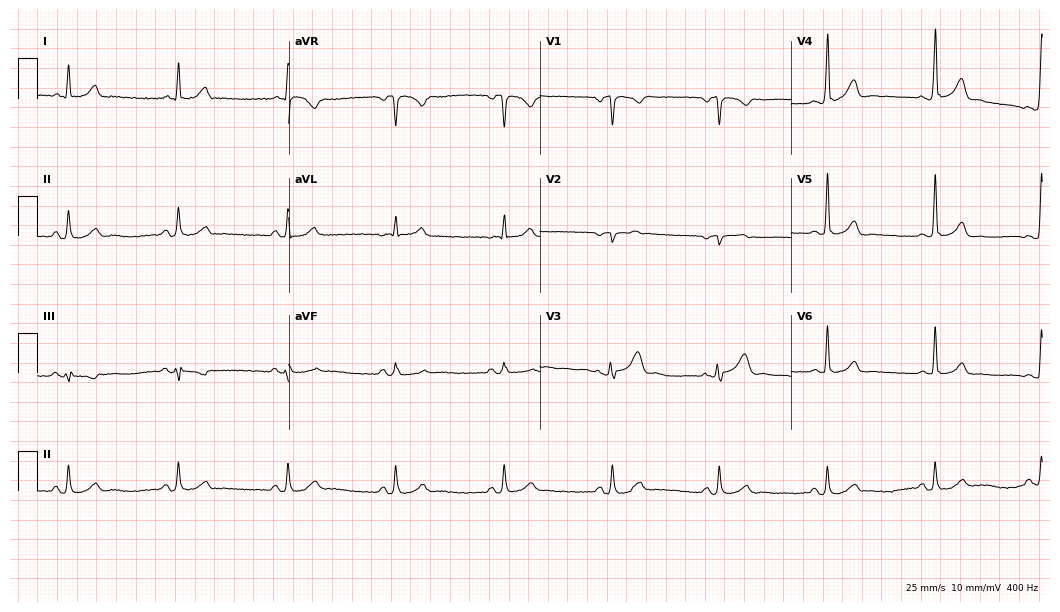
12-lead ECG from a 74-year-old man. Labelled as a normal ECG.